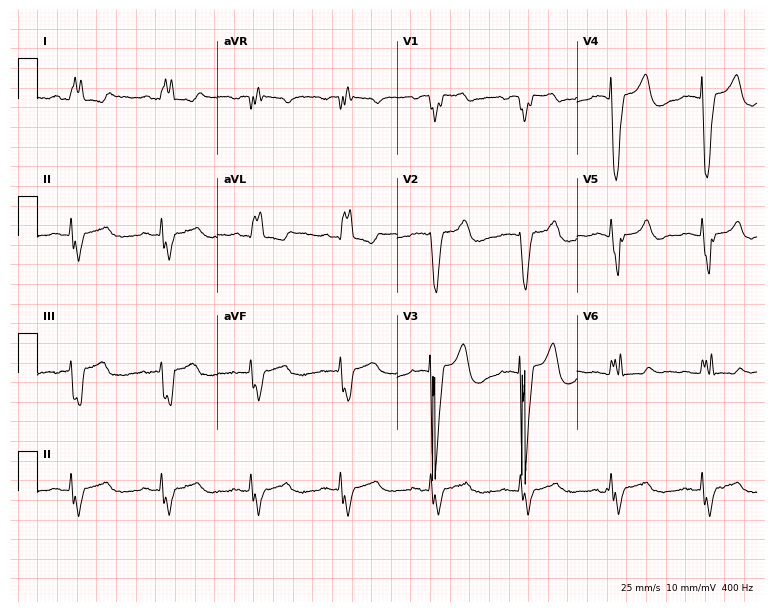
ECG (7.3-second recording at 400 Hz) — an 81-year-old male. Findings include left bundle branch block (LBBB).